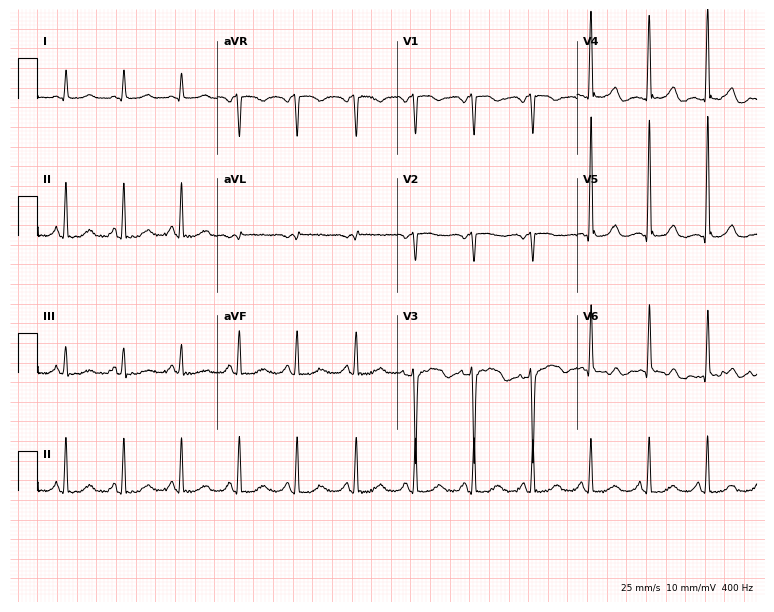
Electrocardiogram, a female, 43 years old. Of the six screened findings (first-degree AV block, right bundle branch block, left bundle branch block, sinus bradycardia, atrial fibrillation, sinus tachycardia), none is recorded. Only these six findings were labelled.